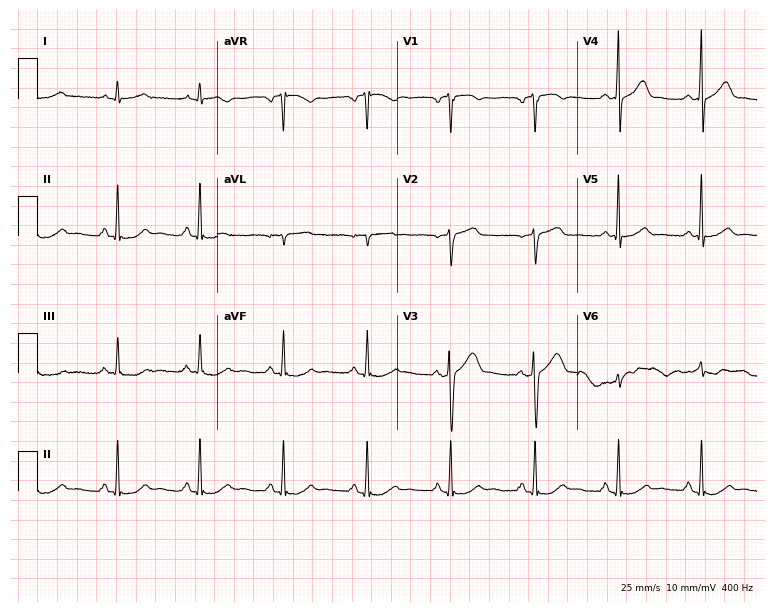
12-lead ECG from a male, 65 years old. Recorded interpretation: within normal limits.